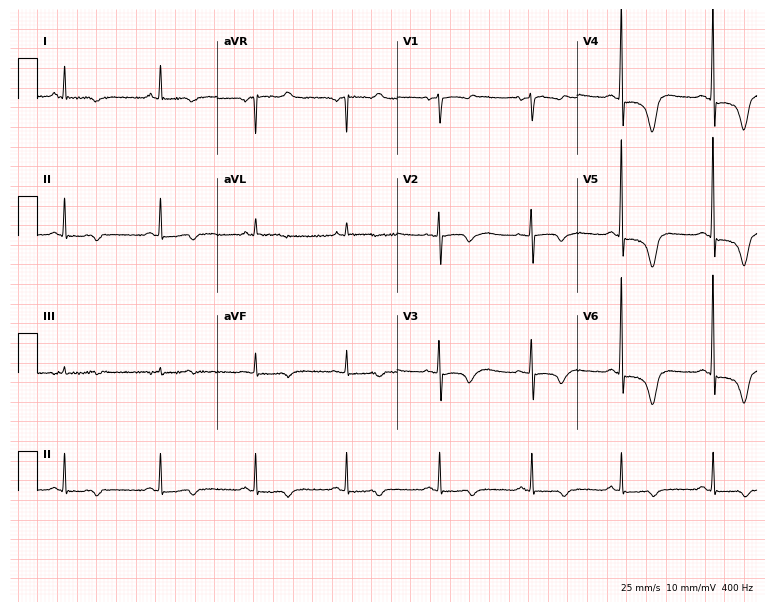
12-lead ECG (7.3-second recording at 400 Hz) from a 64-year-old female. Screened for six findings — first-degree AV block, right bundle branch block (RBBB), left bundle branch block (LBBB), sinus bradycardia, atrial fibrillation (AF), sinus tachycardia — none is recorded. Only these six findings were labelled.